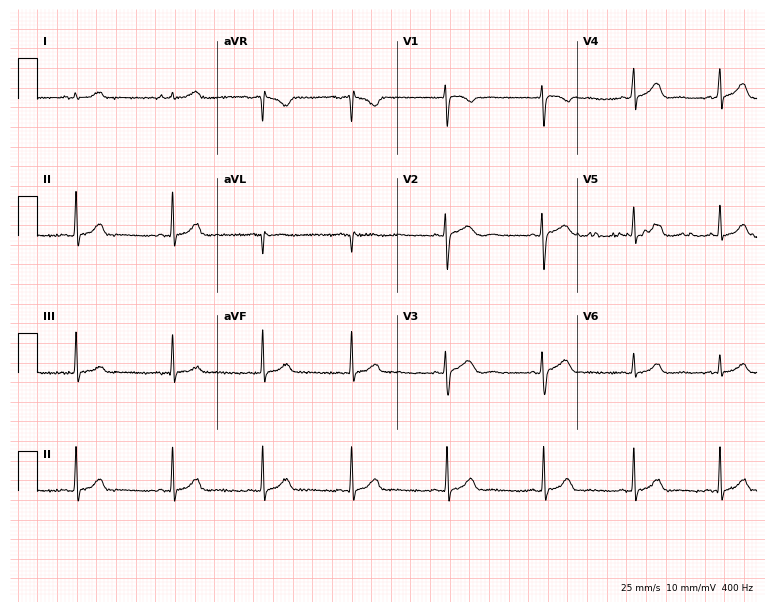
12-lead ECG from a 24-year-old female (7.3-second recording at 400 Hz). No first-degree AV block, right bundle branch block (RBBB), left bundle branch block (LBBB), sinus bradycardia, atrial fibrillation (AF) or sinus tachycardia recorded for this tracing.